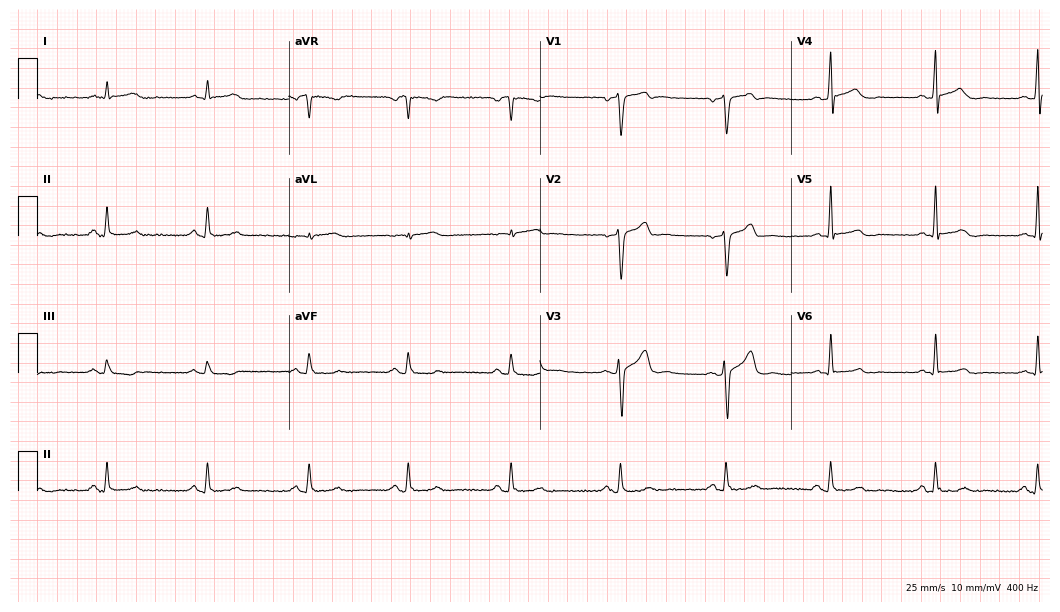
12-lead ECG from a 41-year-old male (10.2-second recording at 400 Hz). Recorded interpretation: within normal limits.